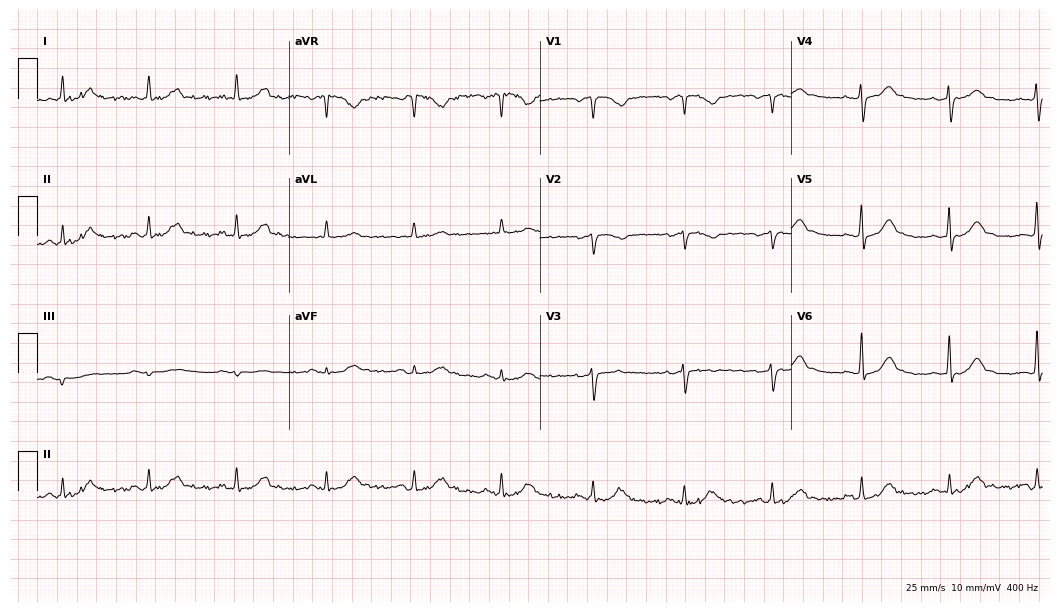
12-lead ECG from a male, 59 years old. Labelled as a normal ECG.